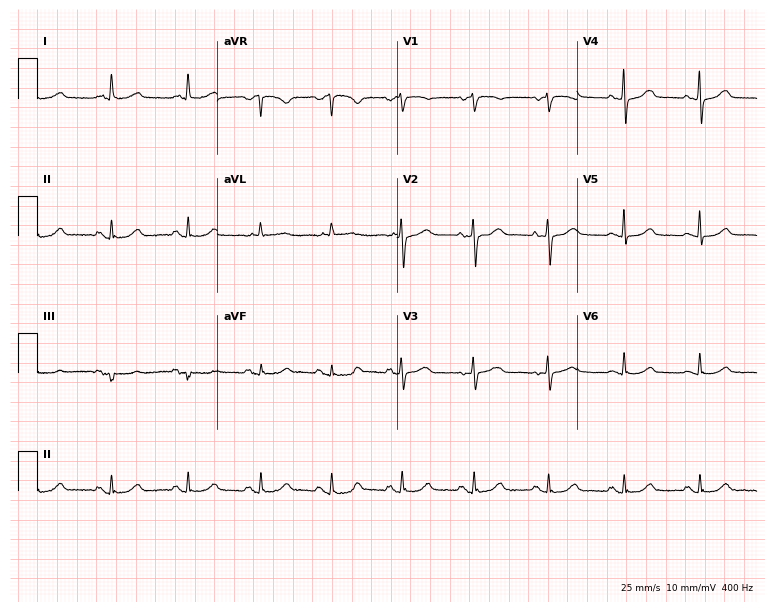
Standard 12-lead ECG recorded from a female patient, 57 years old. Read as a normal ECG.